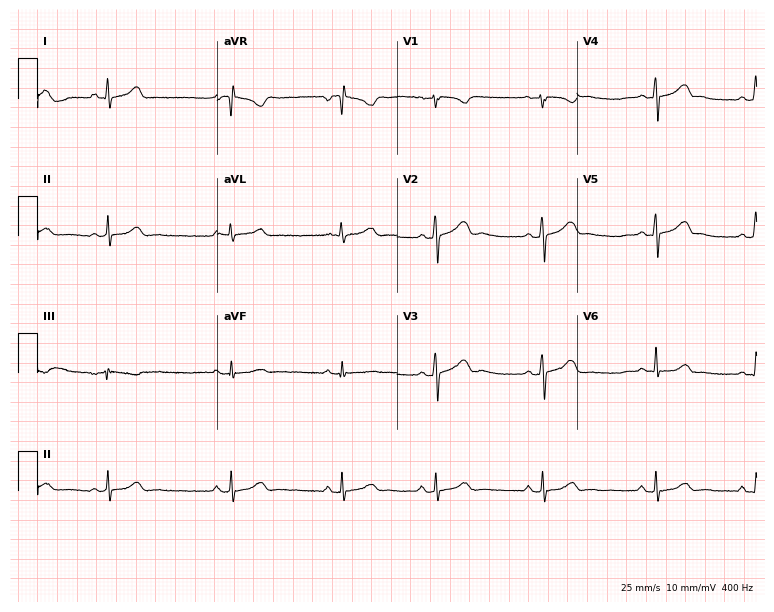
Standard 12-lead ECG recorded from a female patient, 18 years old. None of these six findings is recorded: first-degree AV block, right bundle branch block (RBBB), left bundle branch block (LBBB), sinus bradycardia, atrial fibrillation (AF), sinus tachycardia.